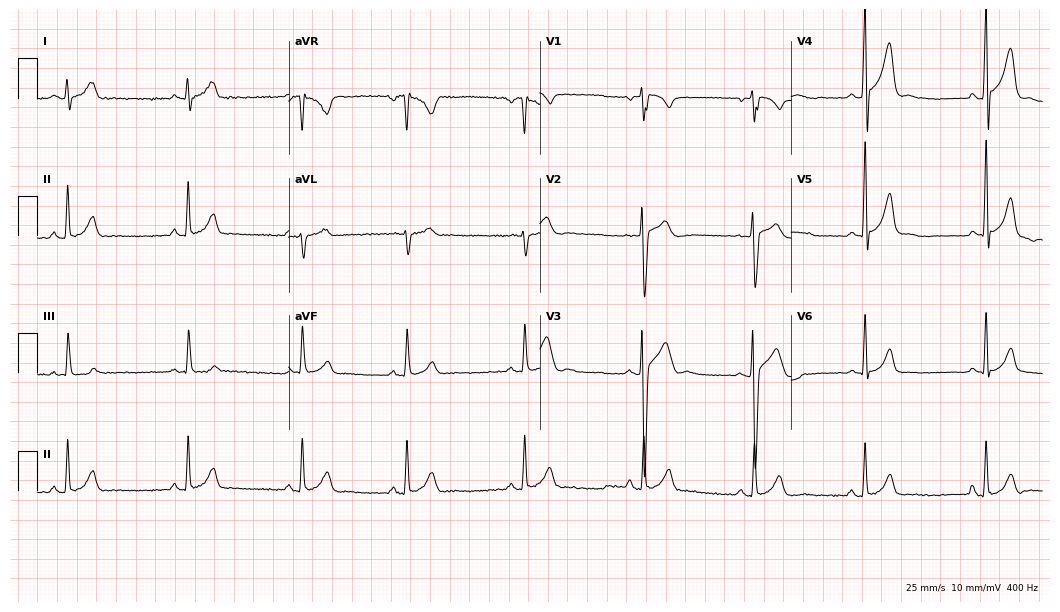
Standard 12-lead ECG recorded from a male, 18 years old. None of these six findings is recorded: first-degree AV block, right bundle branch block, left bundle branch block, sinus bradycardia, atrial fibrillation, sinus tachycardia.